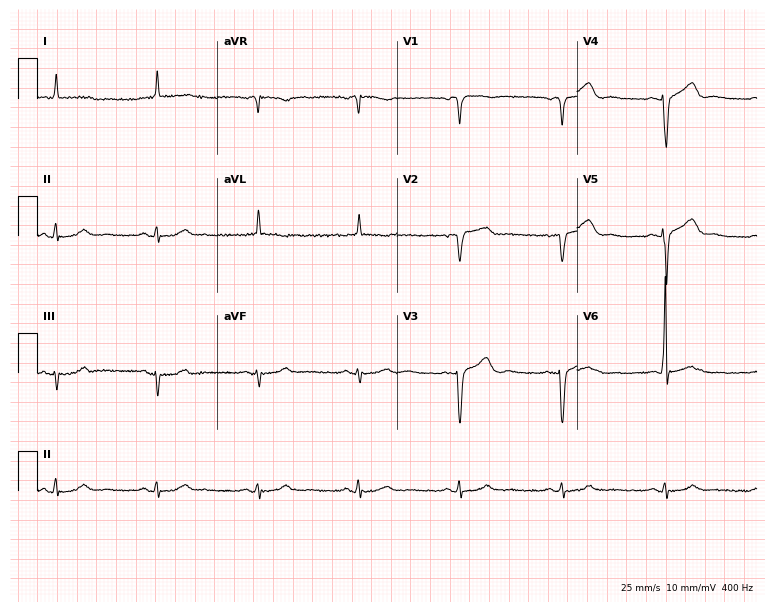
Resting 12-lead electrocardiogram. Patient: an 80-year-old male. None of these six findings is recorded: first-degree AV block, right bundle branch block, left bundle branch block, sinus bradycardia, atrial fibrillation, sinus tachycardia.